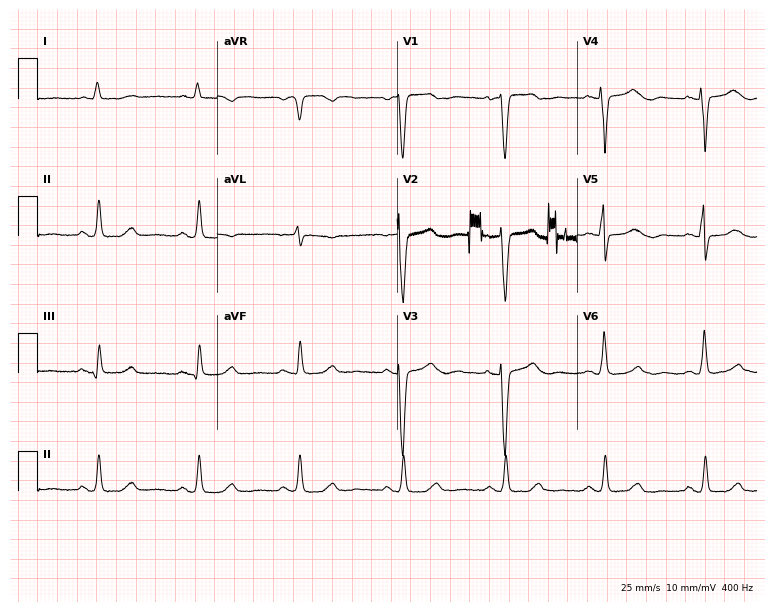
ECG — a woman, 81 years old. Screened for six findings — first-degree AV block, right bundle branch block (RBBB), left bundle branch block (LBBB), sinus bradycardia, atrial fibrillation (AF), sinus tachycardia — none is recorded. Findings outside these six are not listed.